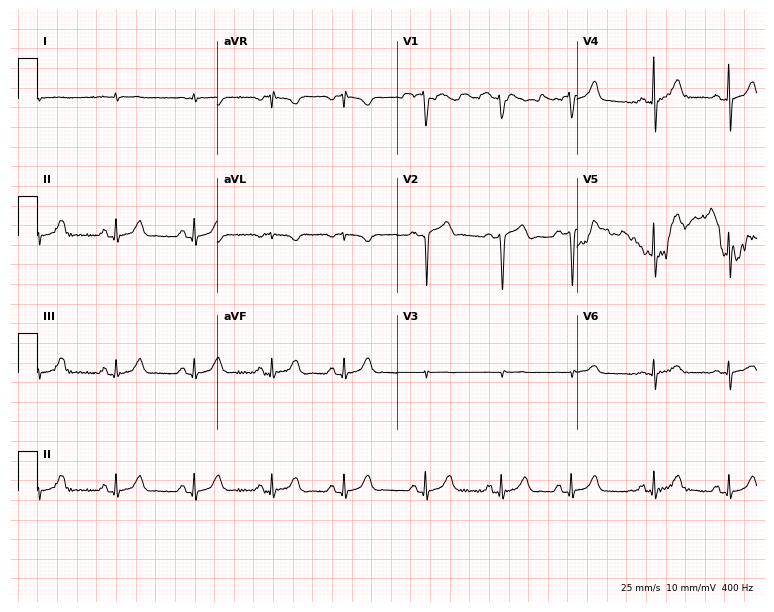
Standard 12-lead ECG recorded from a male, 82 years old. None of these six findings is recorded: first-degree AV block, right bundle branch block (RBBB), left bundle branch block (LBBB), sinus bradycardia, atrial fibrillation (AF), sinus tachycardia.